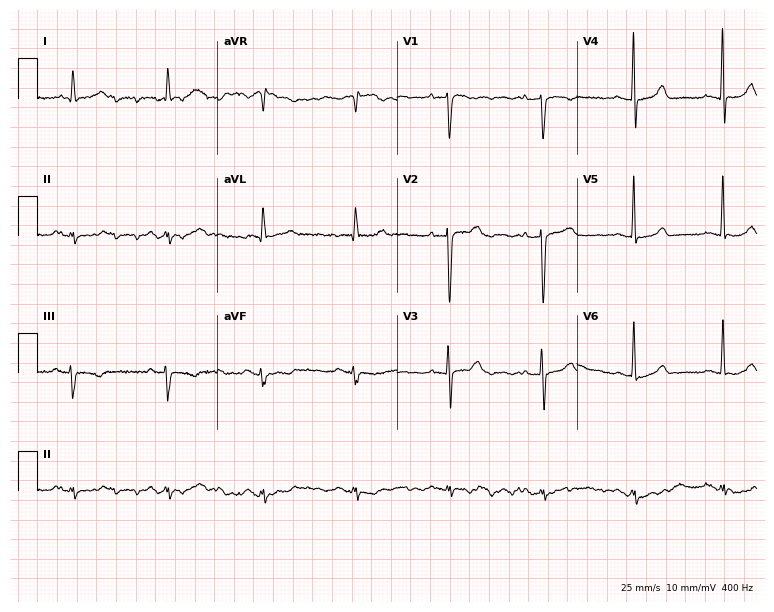
12-lead ECG from a female patient, 84 years old. No first-degree AV block, right bundle branch block, left bundle branch block, sinus bradycardia, atrial fibrillation or sinus tachycardia recorded for this tracing.